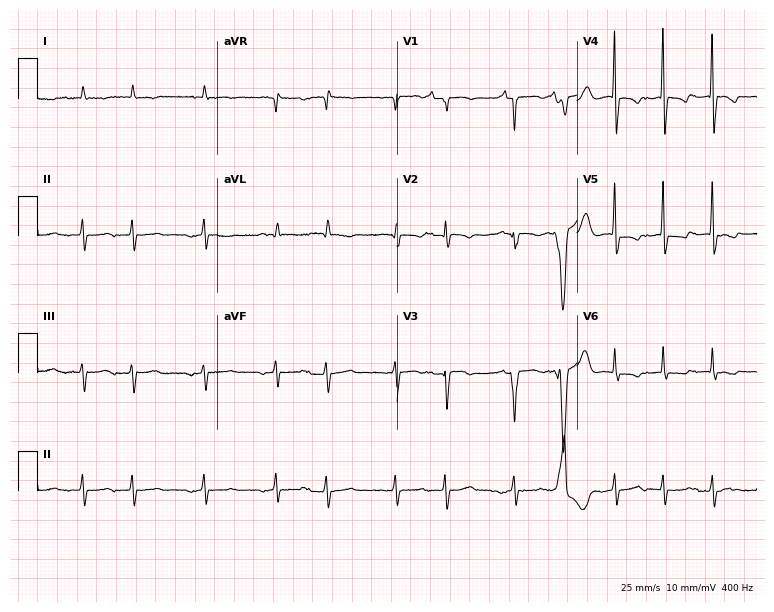
Standard 12-lead ECG recorded from a woman, 85 years old. None of these six findings is recorded: first-degree AV block, right bundle branch block, left bundle branch block, sinus bradycardia, atrial fibrillation, sinus tachycardia. Findings outside these six are not listed.